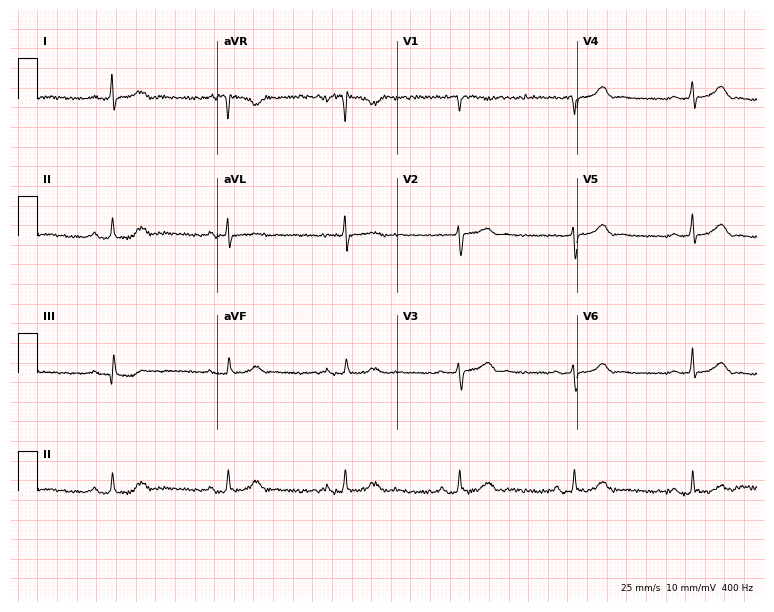
12-lead ECG from a 51-year-old woman (7.3-second recording at 400 Hz). Recorded interpretation: within normal limits.